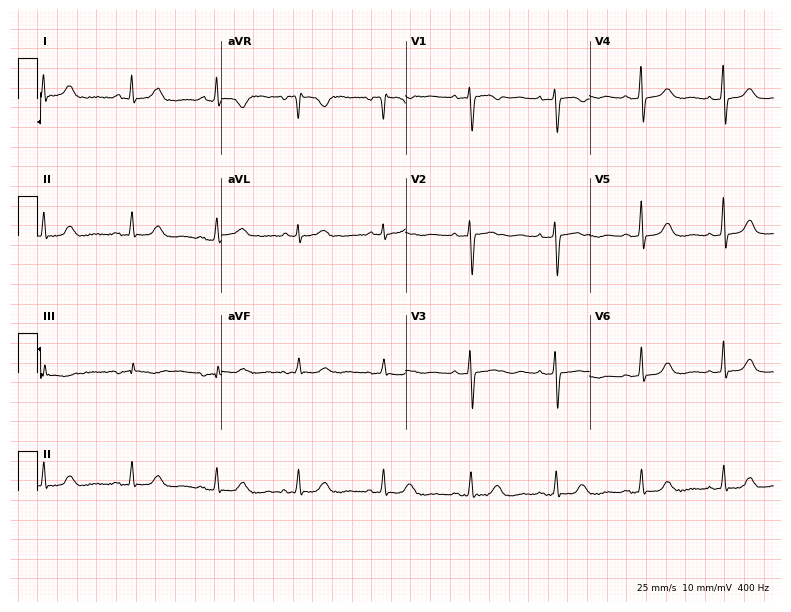
Standard 12-lead ECG recorded from a female patient, 74 years old (7.5-second recording at 400 Hz). None of these six findings is recorded: first-degree AV block, right bundle branch block (RBBB), left bundle branch block (LBBB), sinus bradycardia, atrial fibrillation (AF), sinus tachycardia. Findings outside these six are not listed.